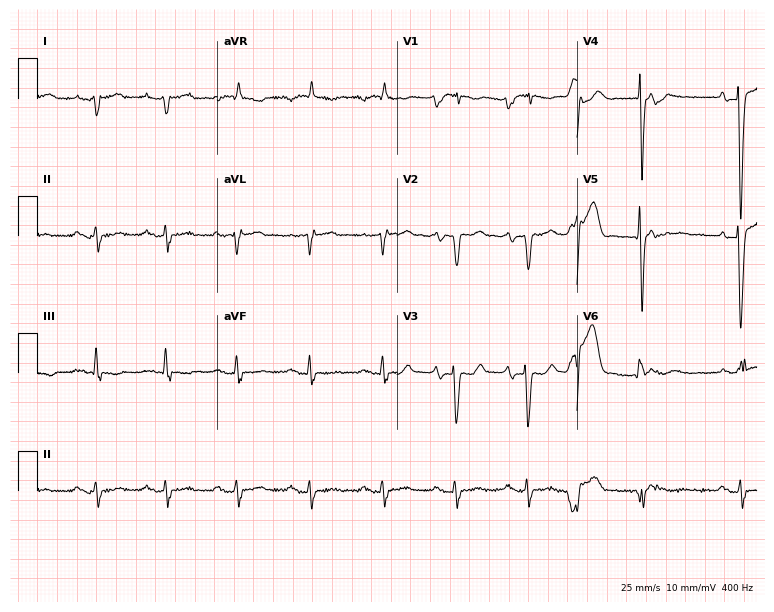
12-lead ECG from a 72-year-old woman (7.3-second recording at 400 Hz). No first-degree AV block, right bundle branch block, left bundle branch block, sinus bradycardia, atrial fibrillation or sinus tachycardia recorded for this tracing.